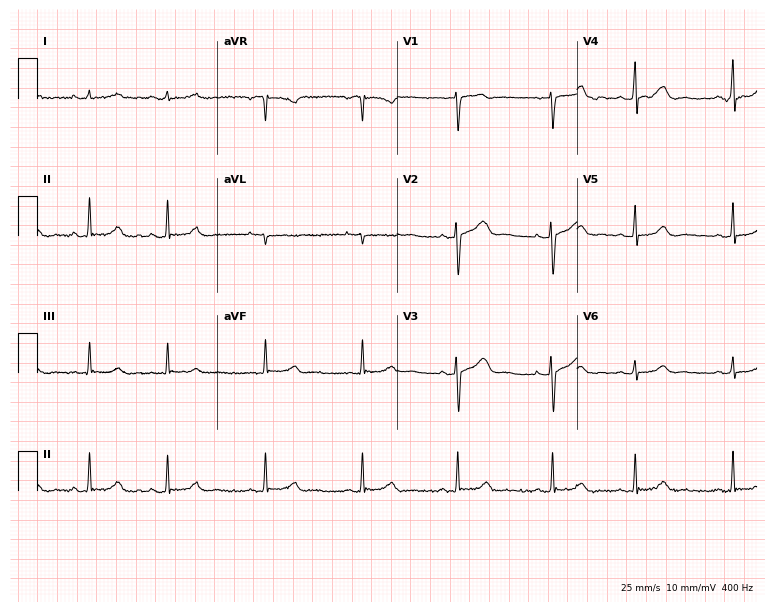
Standard 12-lead ECG recorded from a female, 35 years old. Read as a normal ECG.